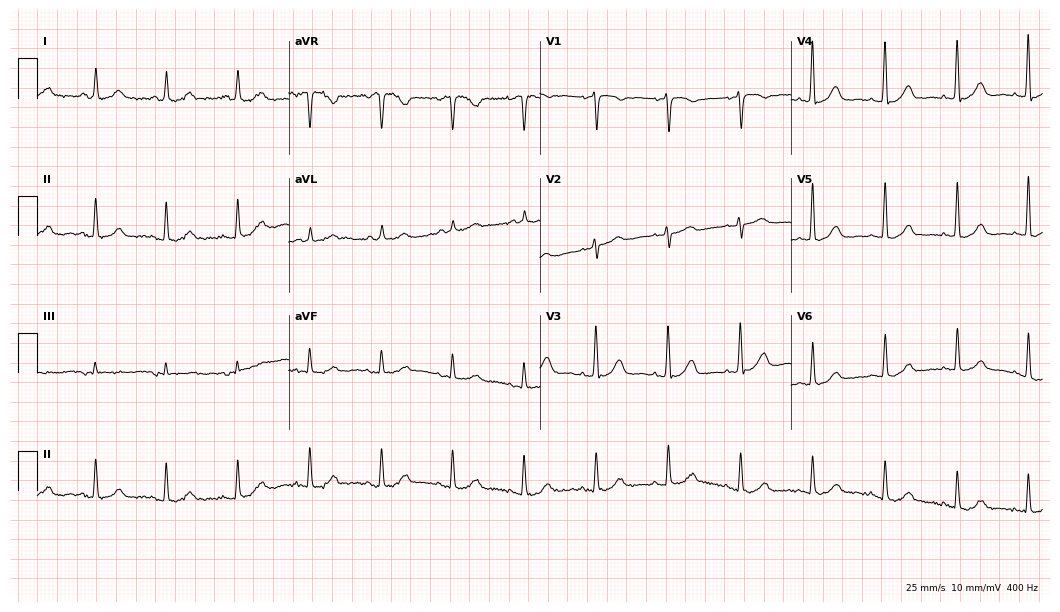
Standard 12-lead ECG recorded from a female patient, 63 years old. None of these six findings is recorded: first-degree AV block, right bundle branch block, left bundle branch block, sinus bradycardia, atrial fibrillation, sinus tachycardia. Other findings, if any, are not listed.